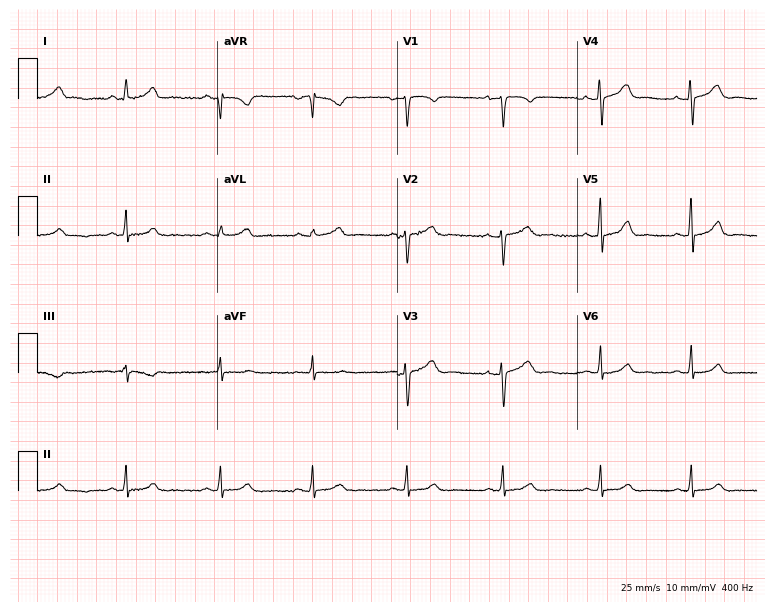
ECG (7.3-second recording at 400 Hz) — a 36-year-old female. Labelled as a normal ECG.